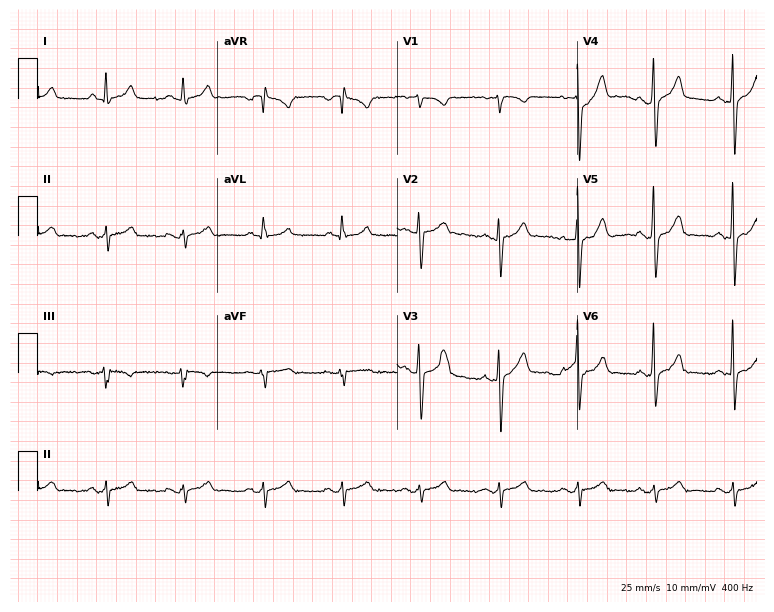
Resting 12-lead electrocardiogram. Patient: a 55-year-old male. None of these six findings is recorded: first-degree AV block, right bundle branch block, left bundle branch block, sinus bradycardia, atrial fibrillation, sinus tachycardia. Other findings, if any, are not listed.